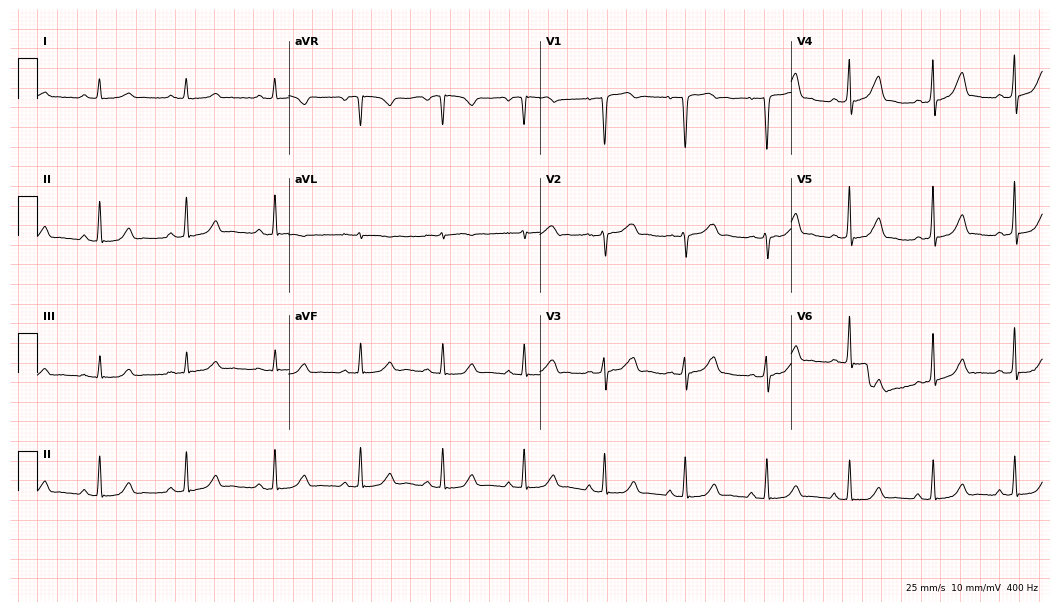
Resting 12-lead electrocardiogram (10.2-second recording at 400 Hz). Patient: a woman, 51 years old. None of these six findings is recorded: first-degree AV block, right bundle branch block, left bundle branch block, sinus bradycardia, atrial fibrillation, sinus tachycardia.